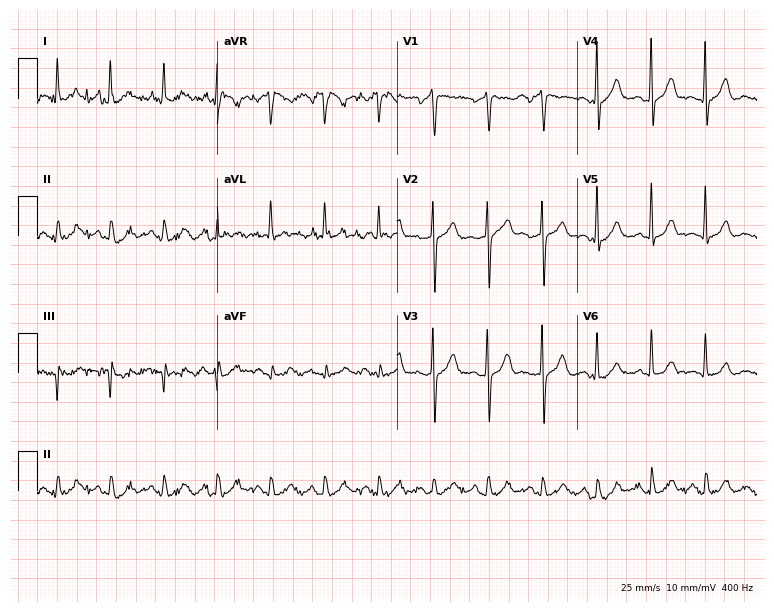
12-lead ECG from a male, 62 years old (7.3-second recording at 400 Hz). Shows sinus tachycardia (a sinus rate of 100 beats per minute or more).